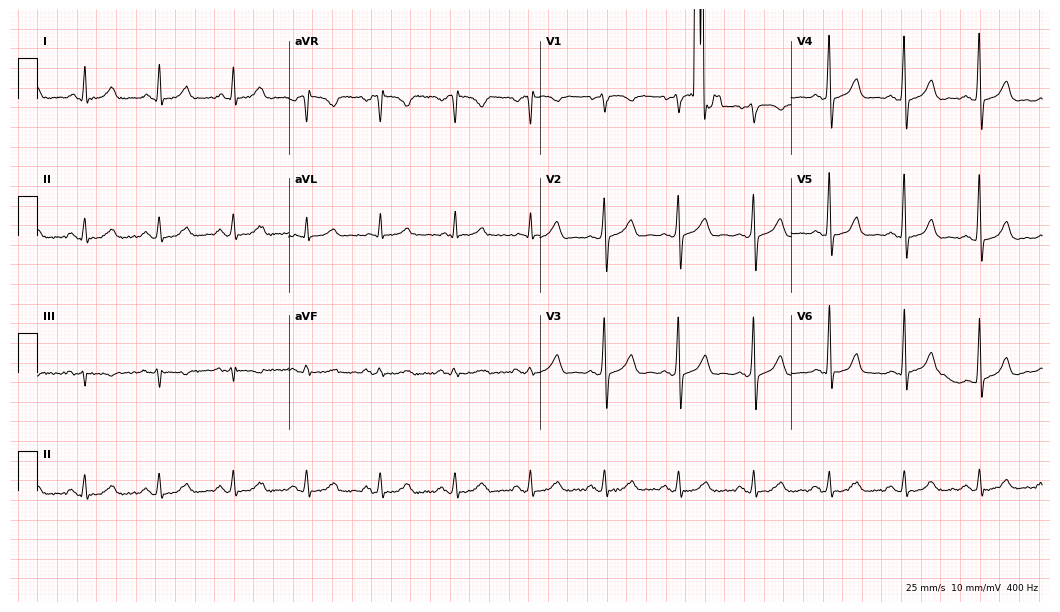
12-lead ECG from a male patient, 62 years old. Recorded interpretation: within normal limits.